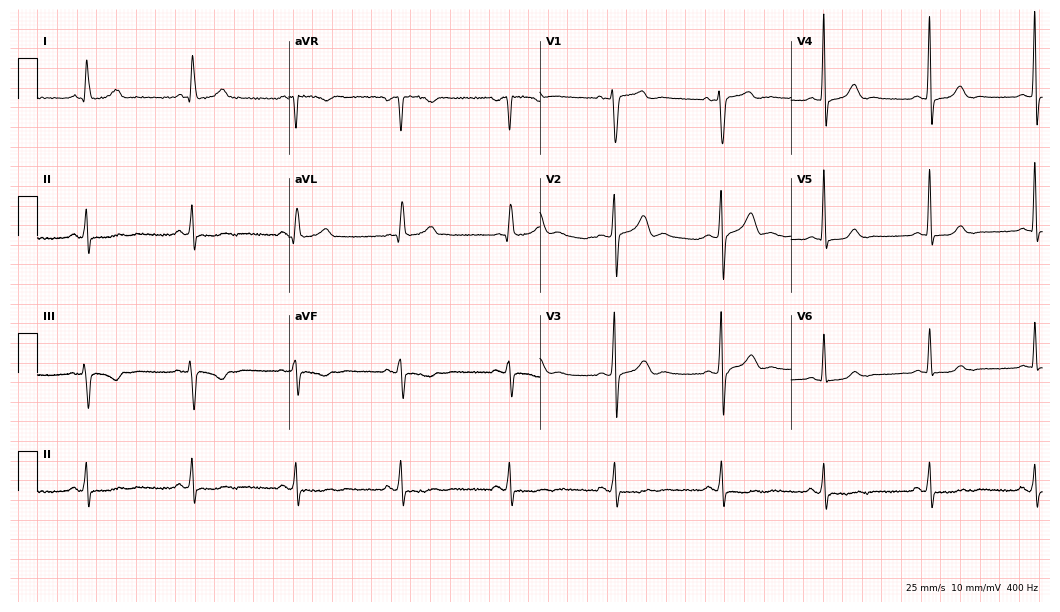
ECG — a male patient, 47 years old. Screened for six findings — first-degree AV block, right bundle branch block (RBBB), left bundle branch block (LBBB), sinus bradycardia, atrial fibrillation (AF), sinus tachycardia — none is recorded.